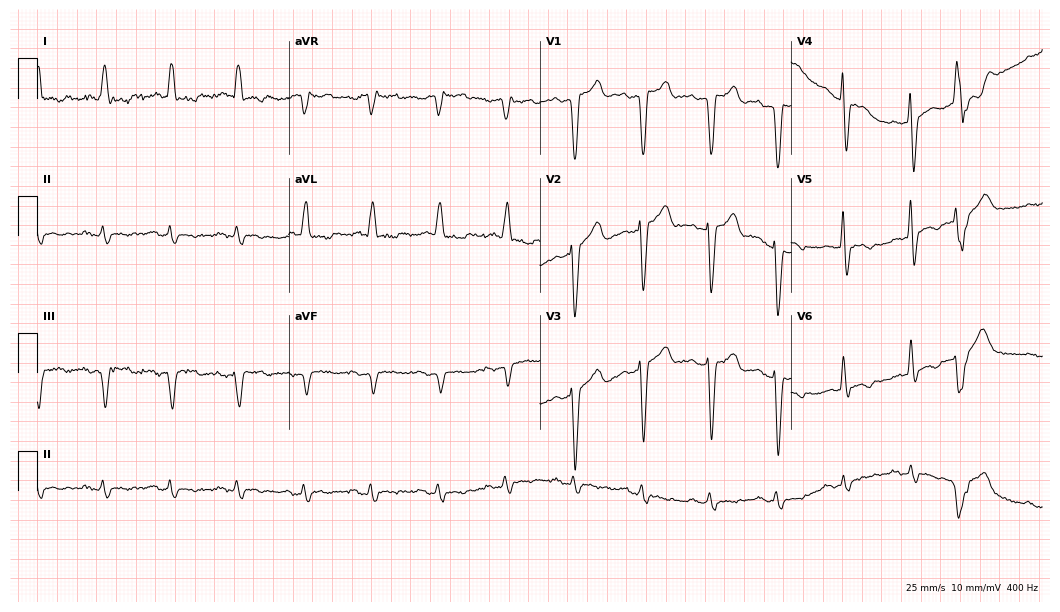
Electrocardiogram (10.2-second recording at 400 Hz), a male patient, 58 years old. Of the six screened findings (first-degree AV block, right bundle branch block (RBBB), left bundle branch block (LBBB), sinus bradycardia, atrial fibrillation (AF), sinus tachycardia), none is recorded.